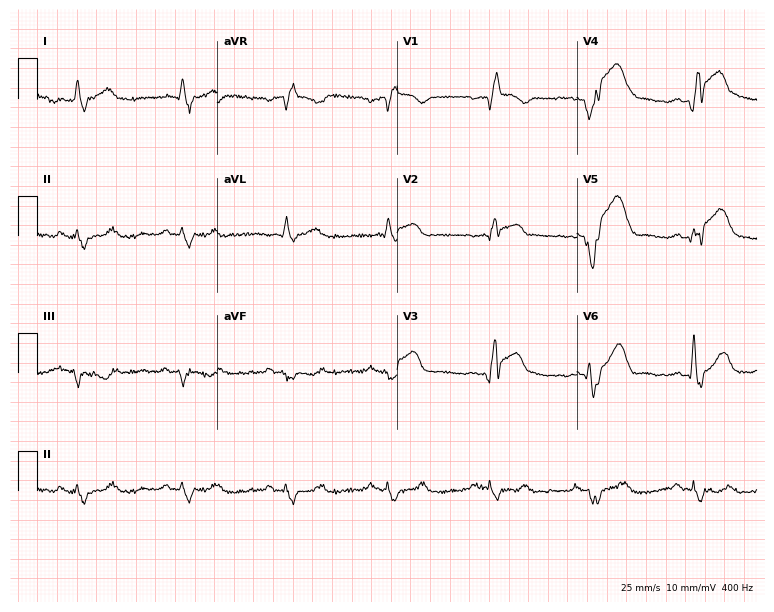
Standard 12-lead ECG recorded from a 79-year-old male patient (7.3-second recording at 400 Hz). None of these six findings is recorded: first-degree AV block, right bundle branch block (RBBB), left bundle branch block (LBBB), sinus bradycardia, atrial fibrillation (AF), sinus tachycardia. Only these six findings were labelled.